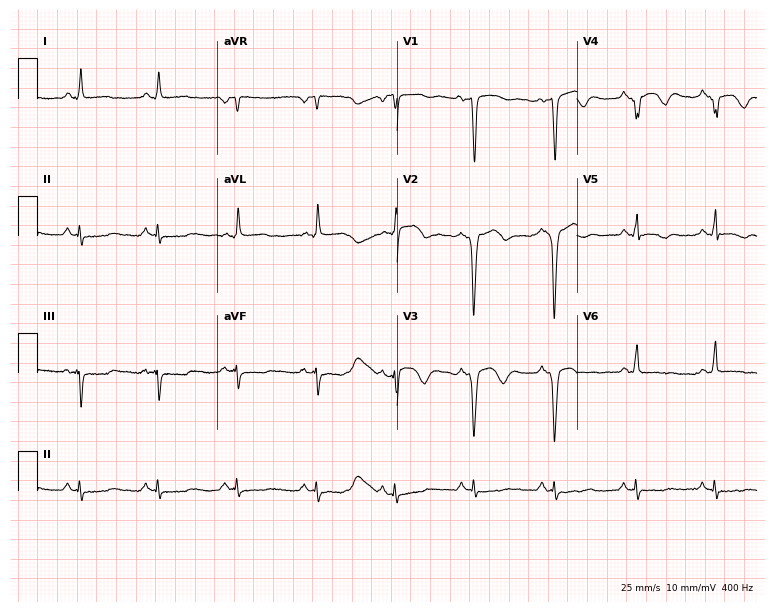
12-lead ECG from a 70-year-old male patient (7.3-second recording at 400 Hz). No first-degree AV block, right bundle branch block (RBBB), left bundle branch block (LBBB), sinus bradycardia, atrial fibrillation (AF) or sinus tachycardia recorded for this tracing.